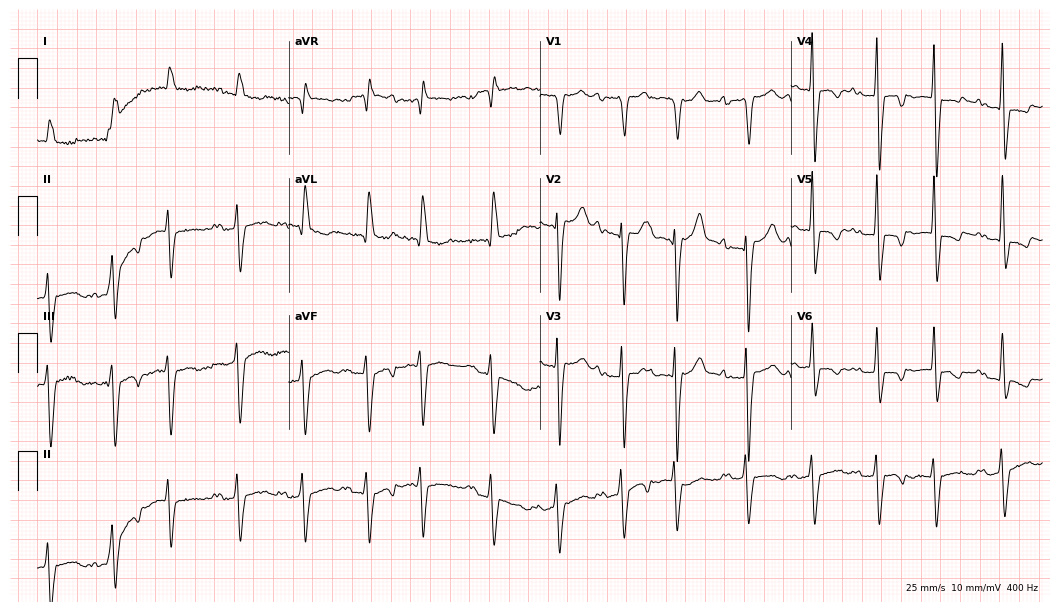
ECG — a 71-year-old man. Findings include atrial fibrillation.